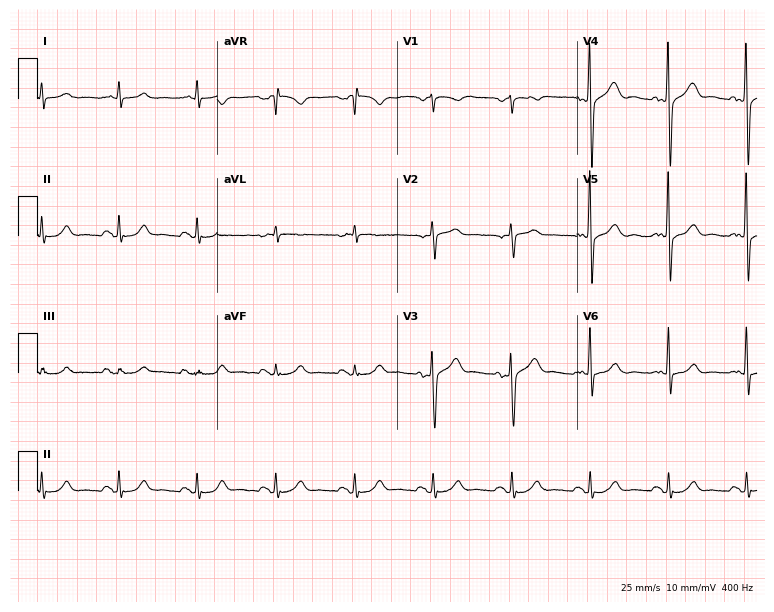
12-lead ECG (7.3-second recording at 400 Hz) from a 63-year-old man. Labelled as a normal ECG.